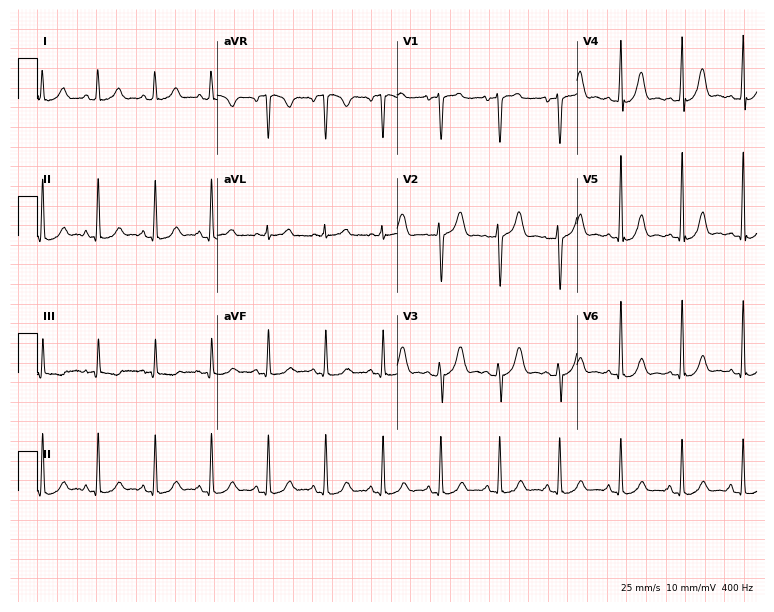
12-lead ECG (7.3-second recording at 400 Hz) from a 28-year-old female patient. Findings include sinus tachycardia (a sinus rate of 100 beats per minute or more).